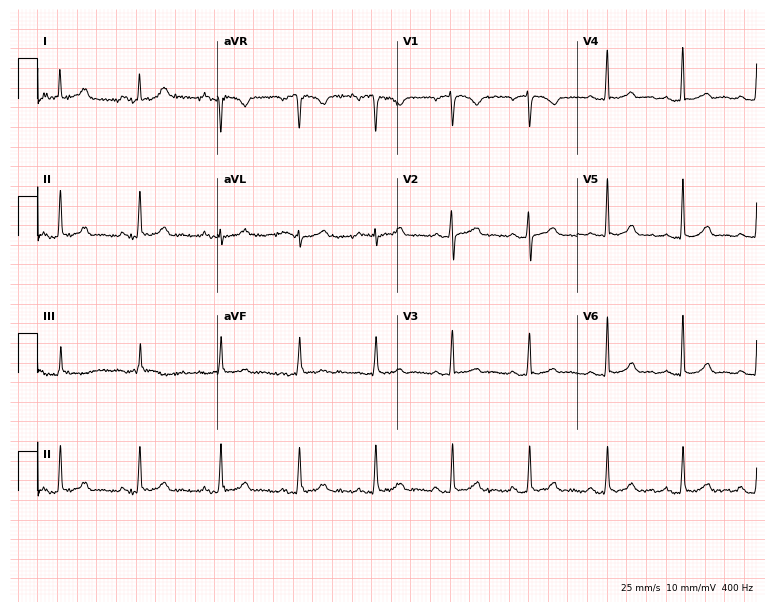
Standard 12-lead ECG recorded from a female patient, 21 years old. Read as a normal ECG.